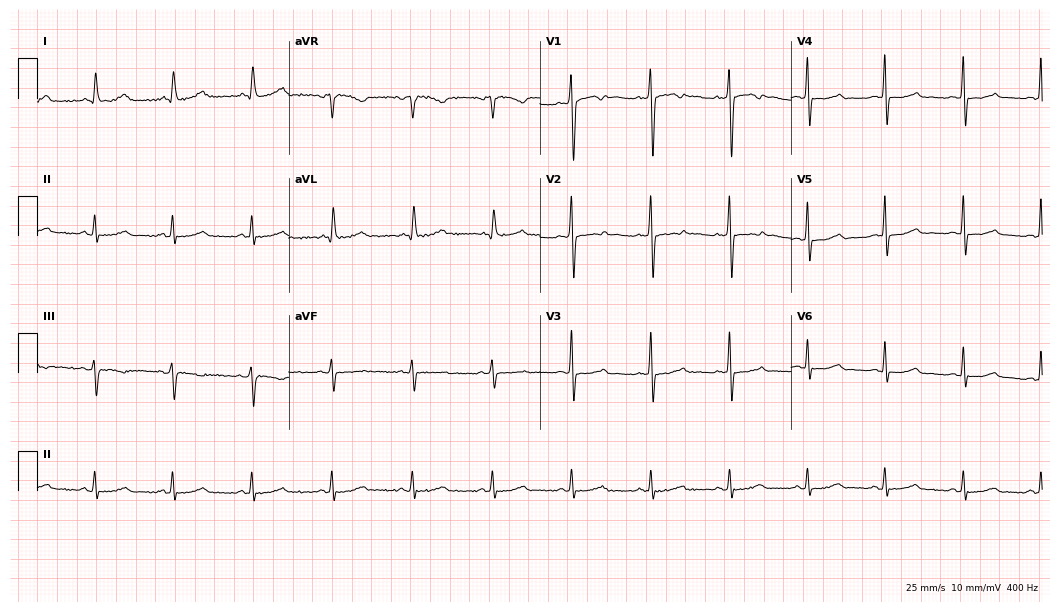
Resting 12-lead electrocardiogram. Patient: a 54-year-old female. None of these six findings is recorded: first-degree AV block, right bundle branch block, left bundle branch block, sinus bradycardia, atrial fibrillation, sinus tachycardia.